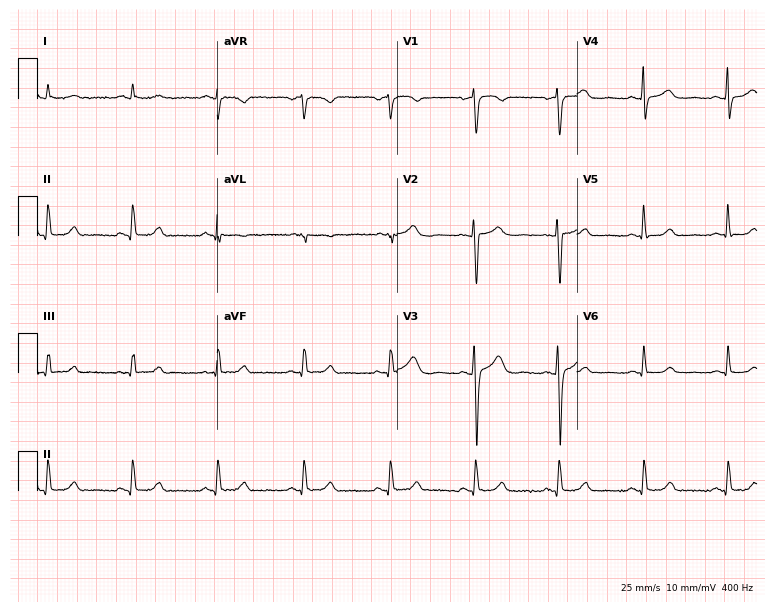
Electrocardiogram, a female patient, 48 years old. Of the six screened findings (first-degree AV block, right bundle branch block, left bundle branch block, sinus bradycardia, atrial fibrillation, sinus tachycardia), none is recorded. Other findings, if any, are not listed.